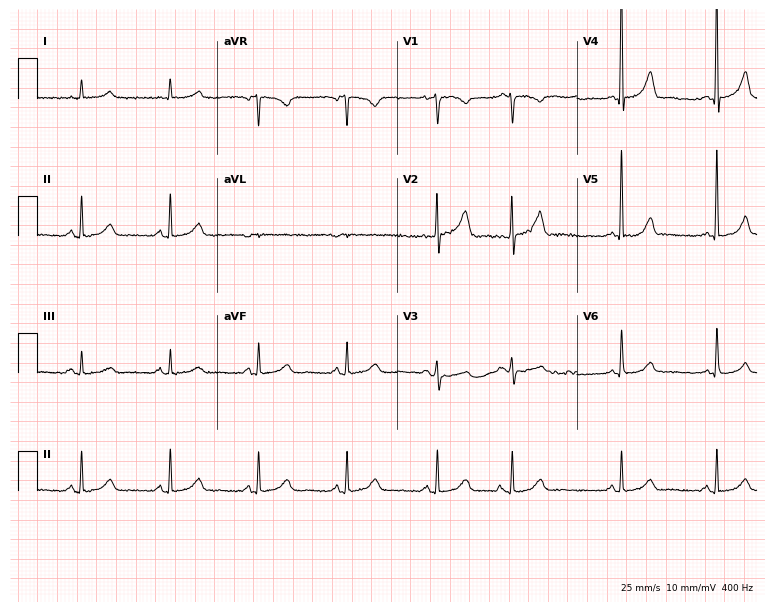
Resting 12-lead electrocardiogram. Patient: a 76-year-old female. Read as a normal ECG.